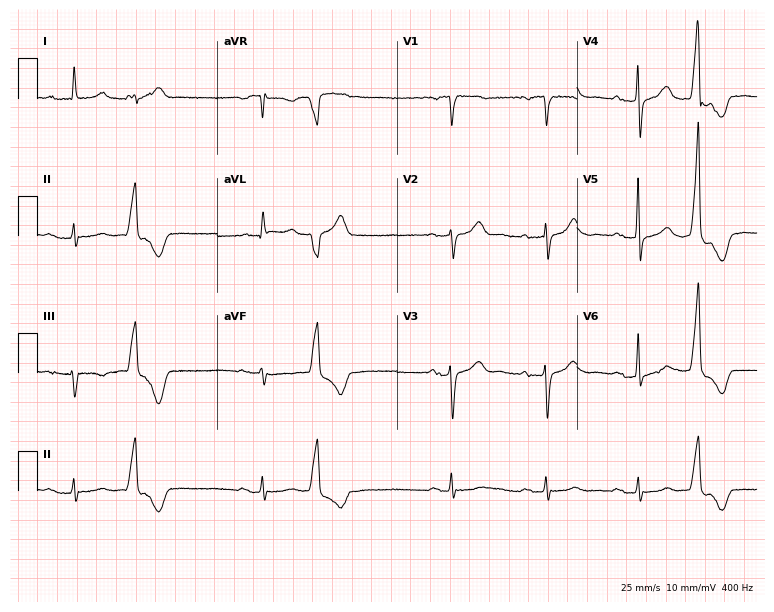
Resting 12-lead electrocardiogram (7.3-second recording at 400 Hz). Patient: a 79-year-old man. None of these six findings is recorded: first-degree AV block, right bundle branch block, left bundle branch block, sinus bradycardia, atrial fibrillation, sinus tachycardia. Findings outside these six are not listed.